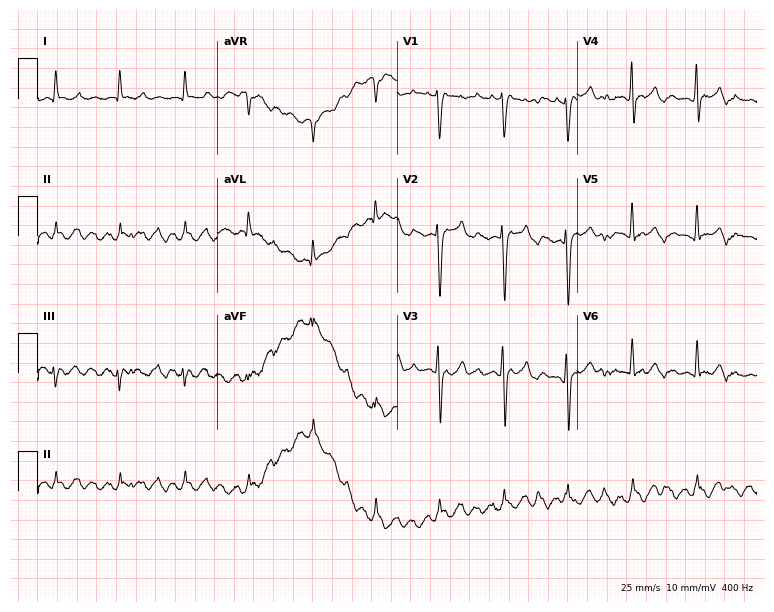
12-lead ECG from a male patient, 71 years old (7.3-second recording at 400 Hz). No first-degree AV block, right bundle branch block (RBBB), left bundle branch block (LBBB), sinus bradycardia, atrial fibrillation (AF) or sinus tachycardia recorded for this tracing.